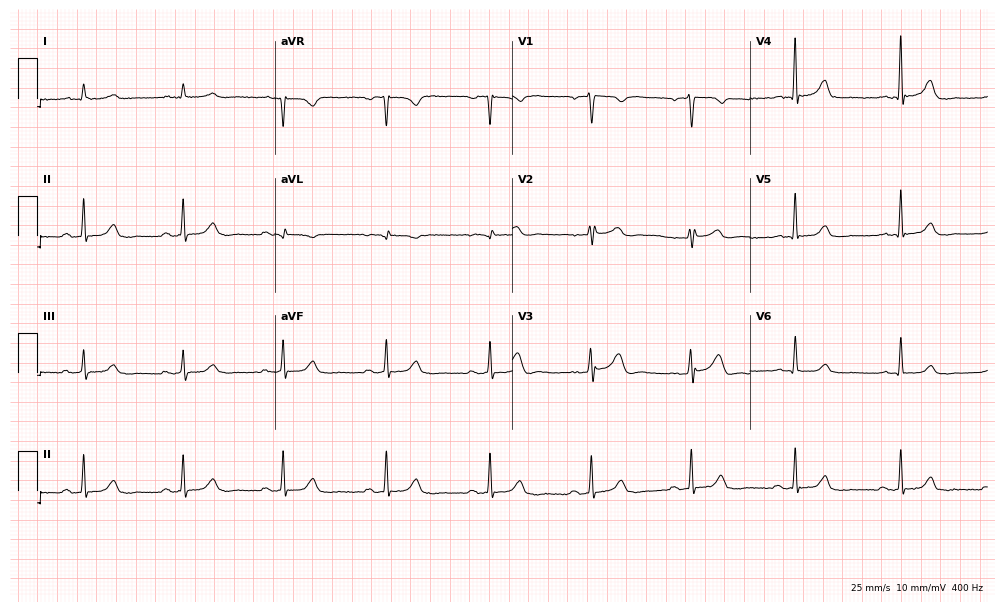
Standard 12-lead ECG recorded from a male, 48 years old. Read as a normal ECG.